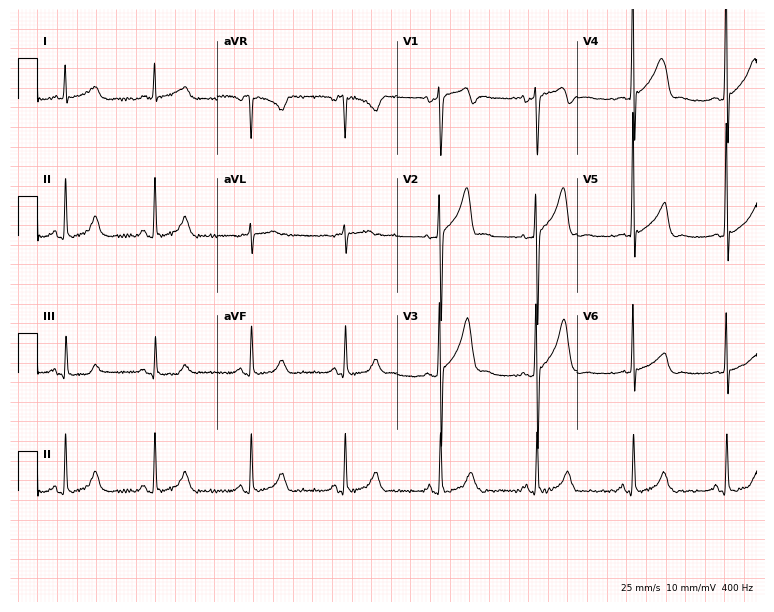
12-lead ECG (7.3-second recording at 400 Hz) from a male, 64 years old. Screened for six findings — first-degree AV block, right bundle branch block, left bundle branch block, sinus bradycardia, atrial fibrillation, sinus tachycardia — none is recorded.